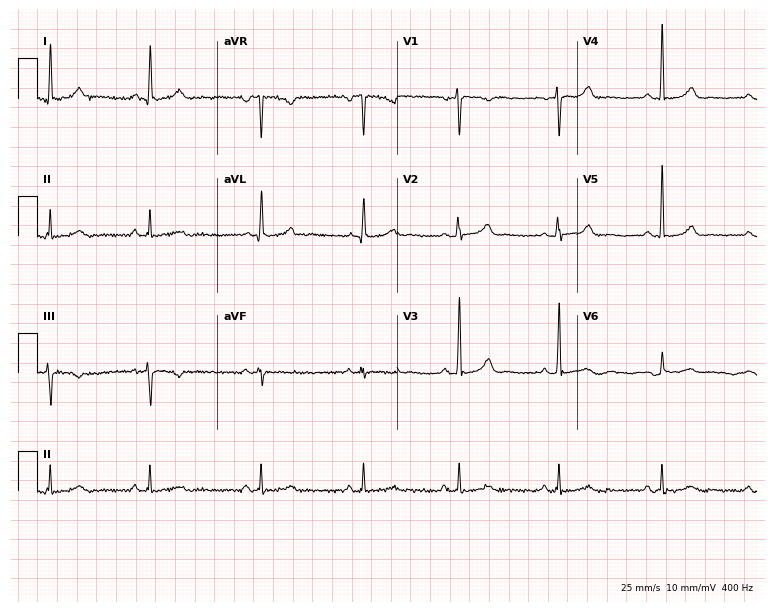
Electrocardiogram (7.3-second recording at 400 Hz), a woman, 49 years old. Of the six screened findings (first-degree AV block, right bundle branch block, left bundle branch block, sinus bradycardia, atrial fibrillation, sinus tachycardia), none is recorded. Findings outside these six are not listed.